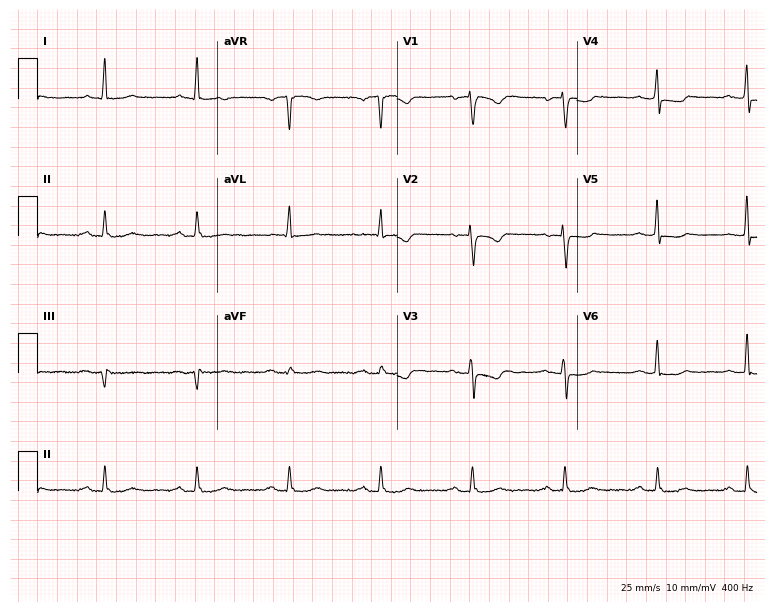
Electrocardiogram (7.3-second recording at 400 Hz), a 73-year-old female. Of the six screened findings (first-degree AV block, right bundle branch block (RBBB), left bundle branch block (LBBB), sinus bradycardia, atrial fibrillation (AF), sinus tachycardia), none is recorded. Other findings, if any, are not listed.